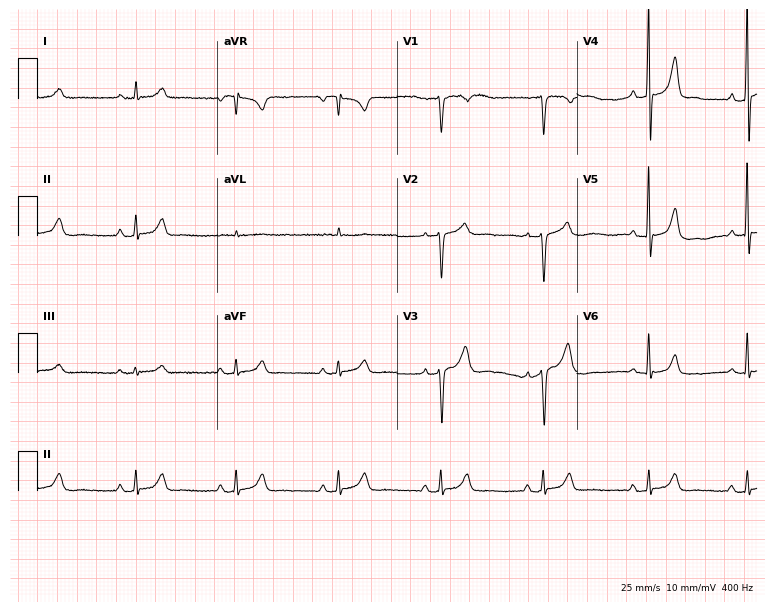
ECG (7.3-second recording at 400 Hz) — a male patient, 60 years old. Screened for six findings — first-degree AV block, right bundle branch block (RBBB), left bundle branch block (LBBB), sinus bradycardia, atrial fibrillation (AF), sinus tachycardia — none is recorded. Other findings, if any, are not listed.